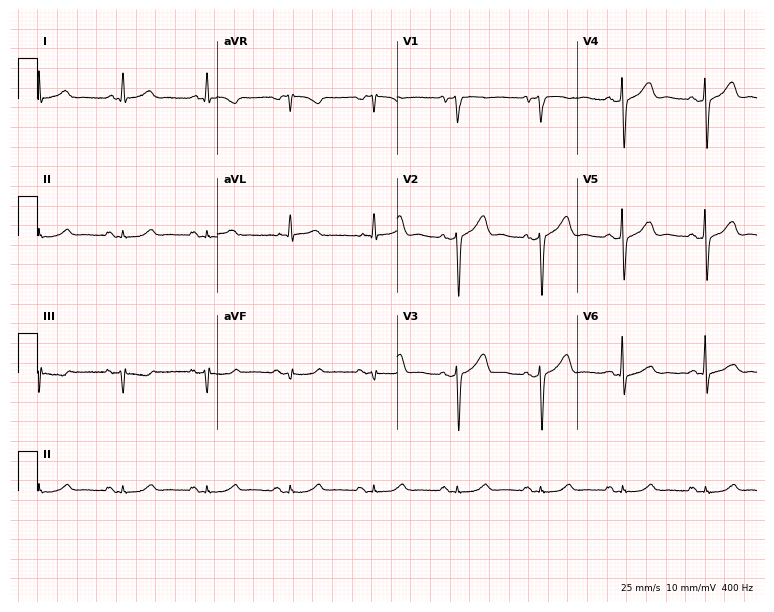
Electrocardiogram, a male patient, 60 years old. Overall reading on record: normal ECG.